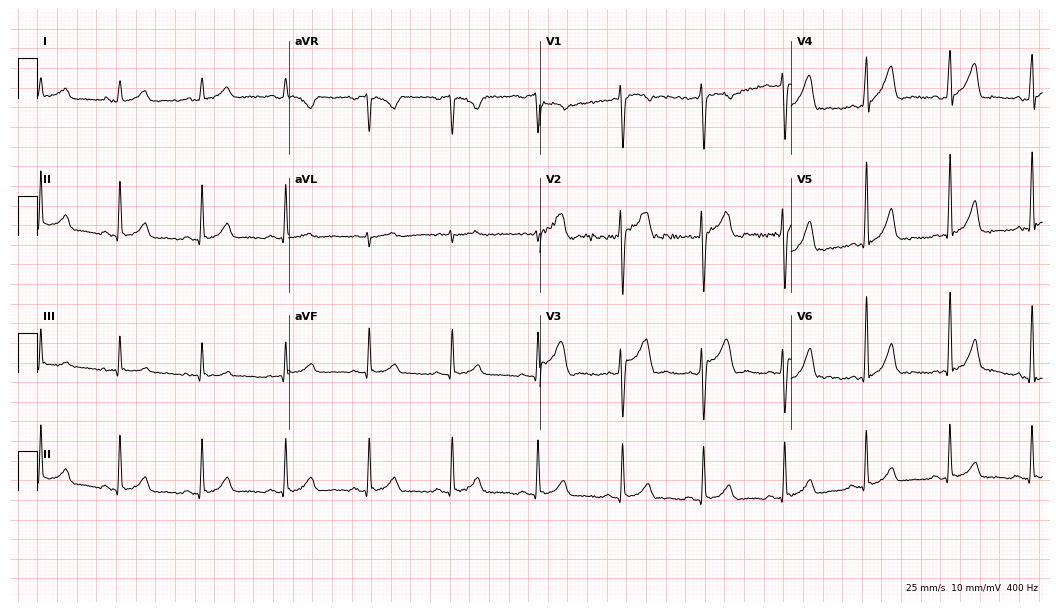
12-lead ECG from a male patient, 21 years old (10.2-second recording at 400 Hz). Recorded interpretation: within normal limits.